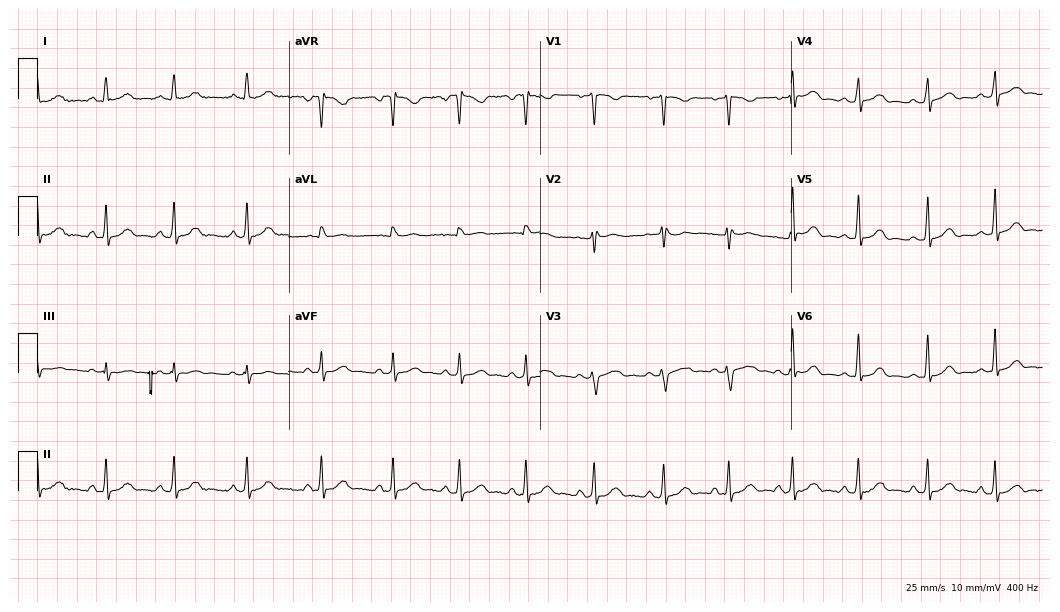
Resting 12-lead electrocardiogram (10.2-second recording at 400 Hz). Patient: a 25-year-old woman. Read as a normal ECG.